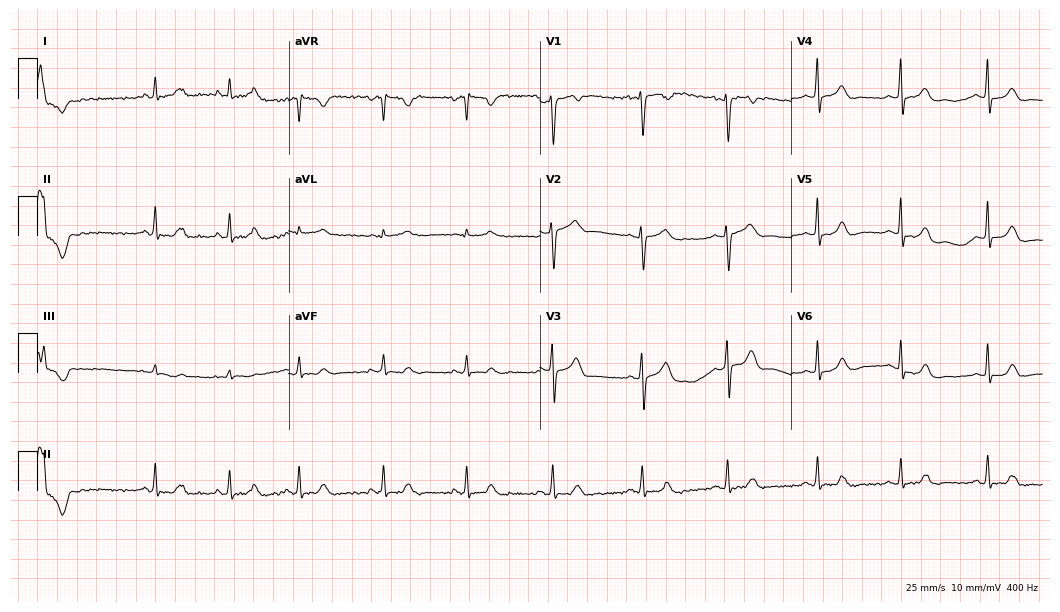
Electrocardiogram, a female patient, 25 years old. Of the six screened findings (first-degree AV block, right bundle branch block, left bundle branch block, sinus bradycardia, atrial fibrillation, sinus tachycardia), none is recorded. Only these six findings were labelled.